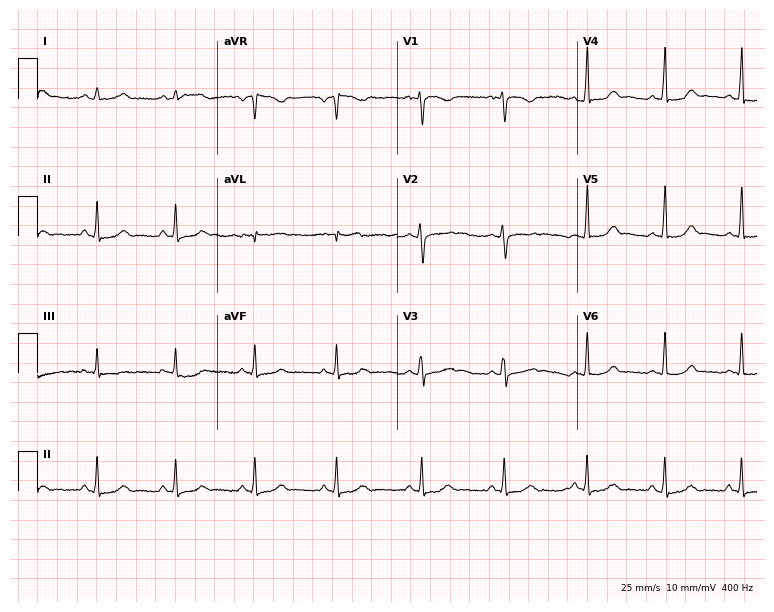
Electrocardiogram (7.3-second recording at 400 Hz), a 24-year-old woman. Overall reading on record: normal ECG.